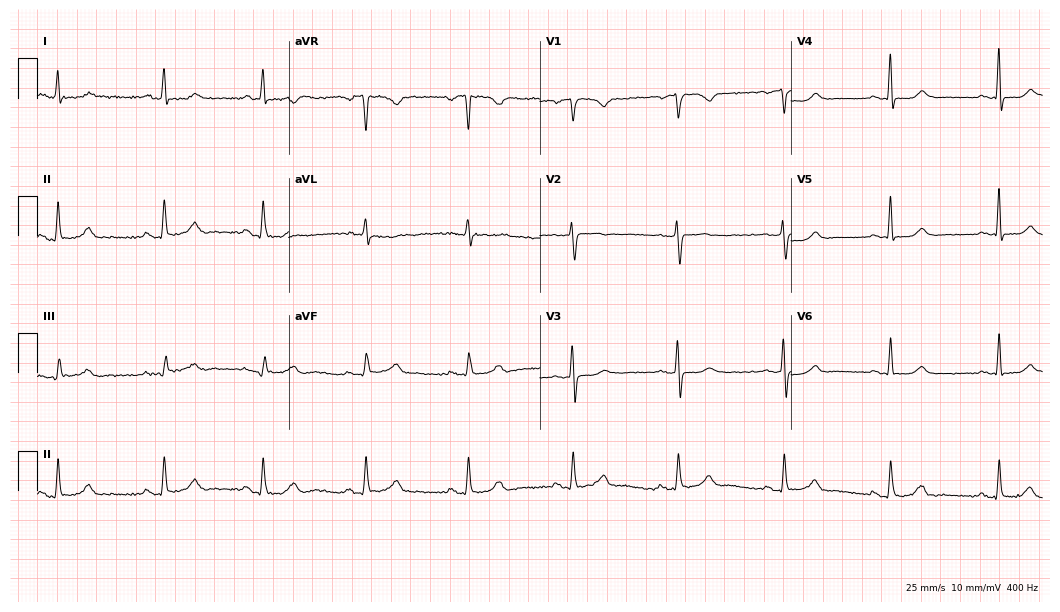
ECG (10.2-second recording at 400 Hz) — a woman, 60 years old. Labelled as a normal ECG.